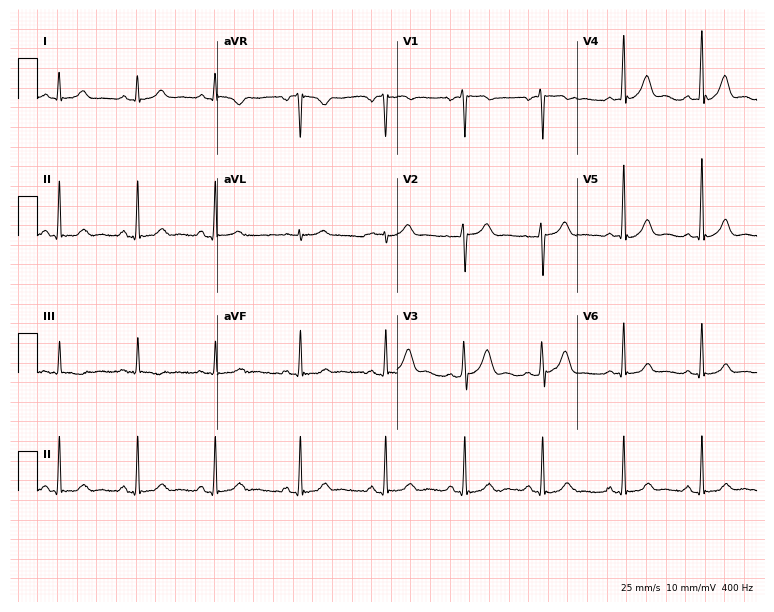
Resting 12-lead electrocardiogram. Patient: a 24-year-old female. Read as a normal ECG.